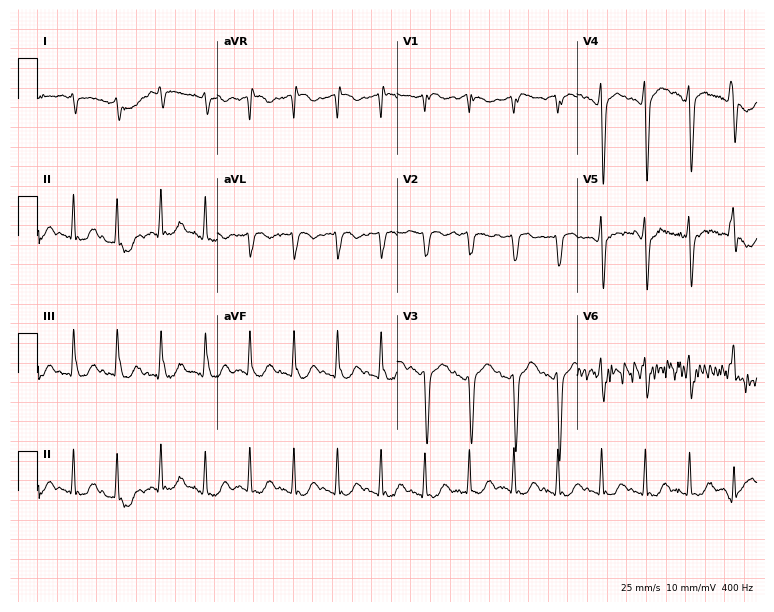
12-lead ECG from a male patient, 63 years old. Findings include sinus tachycardia (a sinus rate of 100 beats per minute or more).